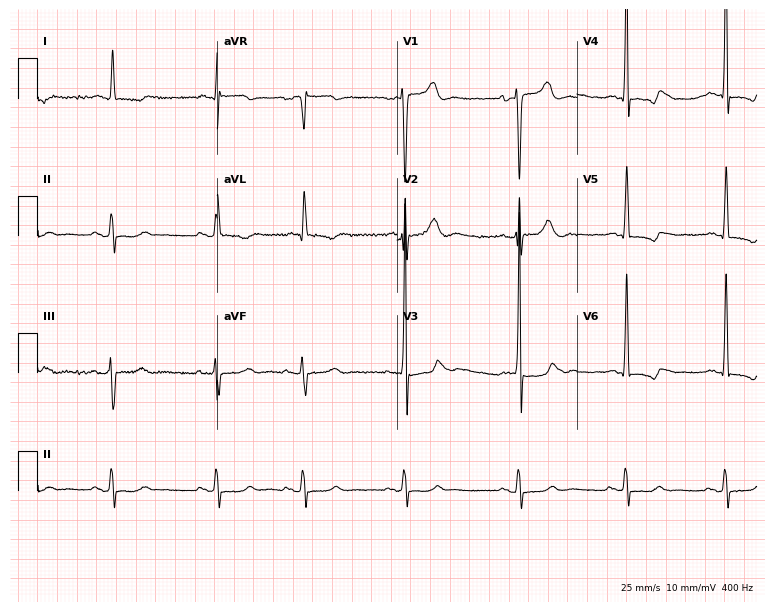
12-lead ECG from a male patient, 73 years old (7.3-second recording at 400 Hz). No first-degree AV block, right bundle branch block (RBBB), left bundle branch block (LBBB), sinus bradycardia, atrial fibrillation (AF) or sinus tachycardia recorded for this tracing. Findings outside these six are not listed.